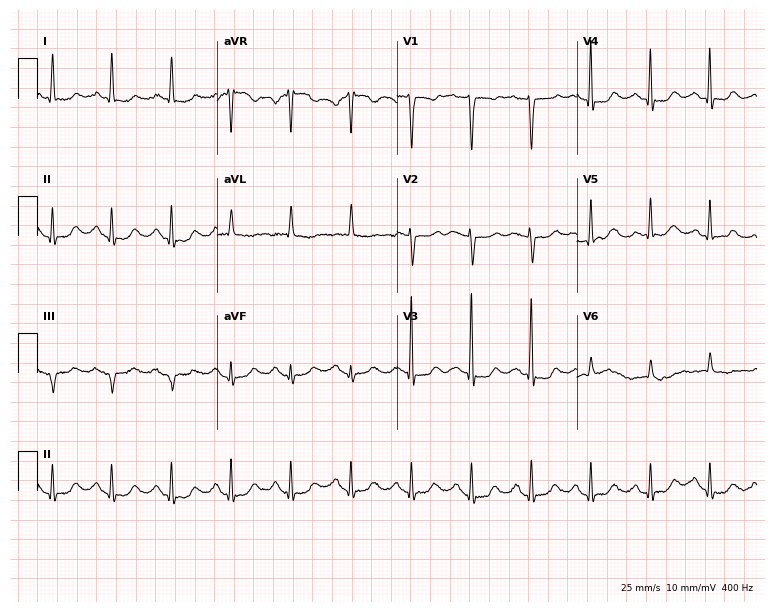
12-lead ECG from an 85-year-old female. Recorded interpretation: within normal limits.